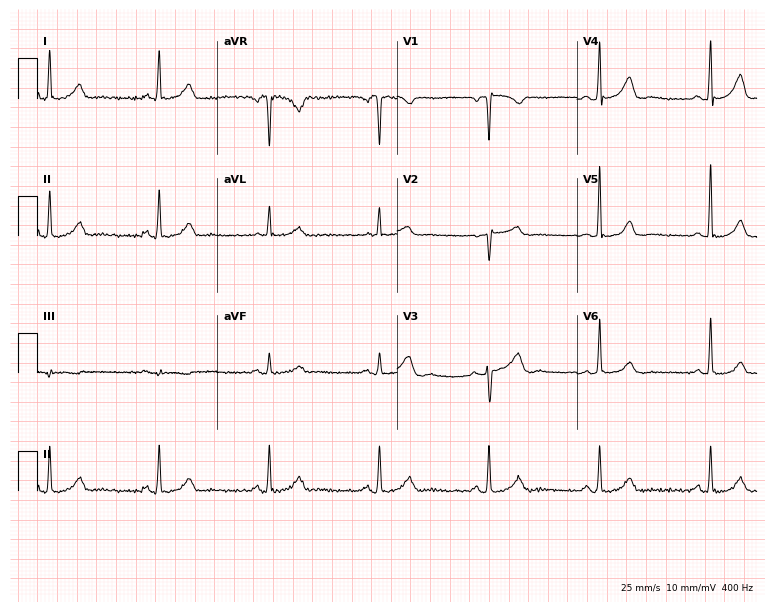
Standard 12-lead ECG recorded from a female, 74 years old. Read as a normal ECG.